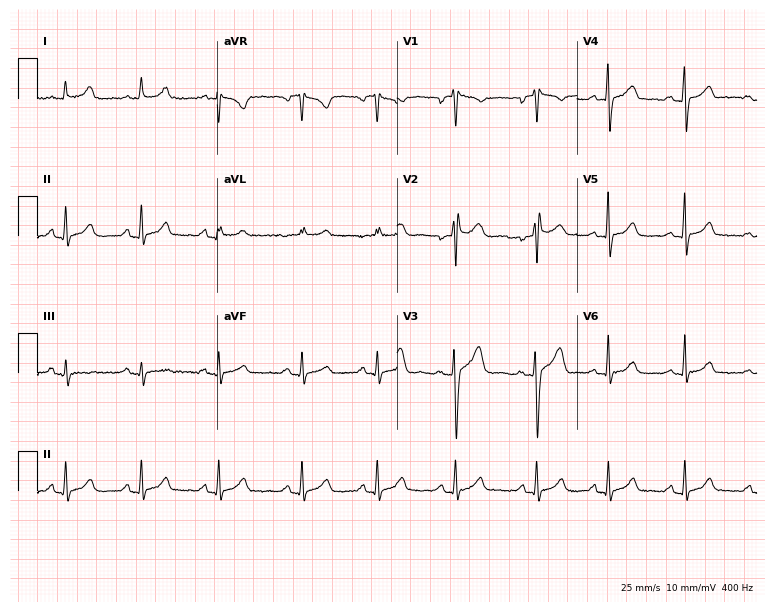
ECG (7.3-second recording at 400 Hz) — a 34-year-old female patient. Screened for six findings — first-degree AV block, right bundle branch block (RBBB), left bundle branch block (LBBB), sinus bradycardia, atrial fibrillation (AF), sinus tachycardia — none is recorded. Findings outside these six are not listed.